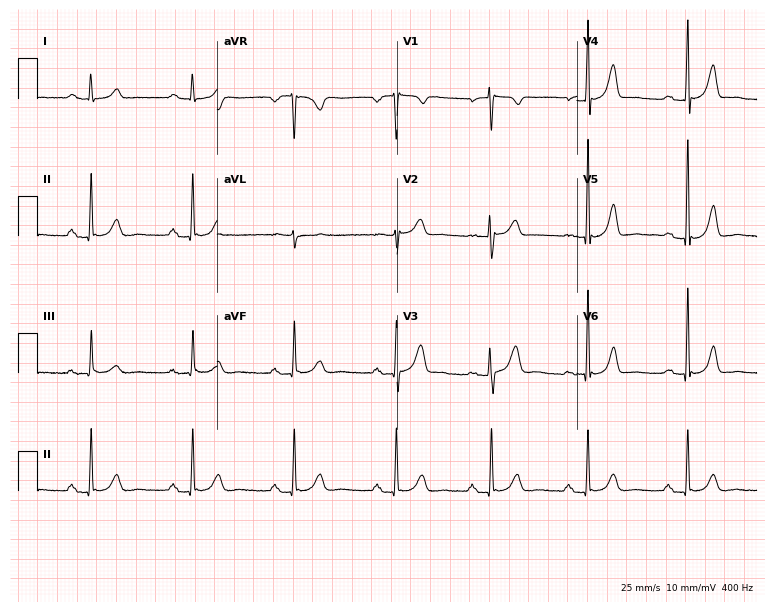
Electrocardiogram, a female, 43 years old. Overall reading on record: normal ECG.